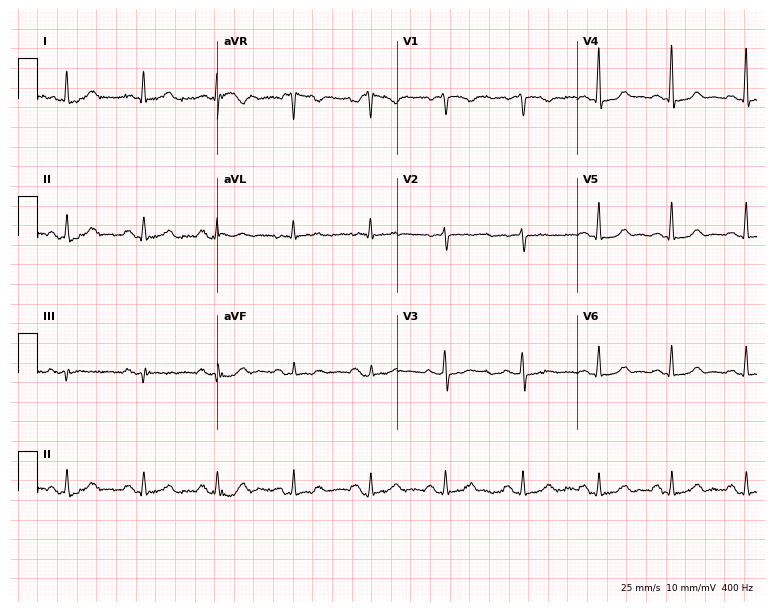
ECG — a female, 60 years old. Labelled as a normal ECG.